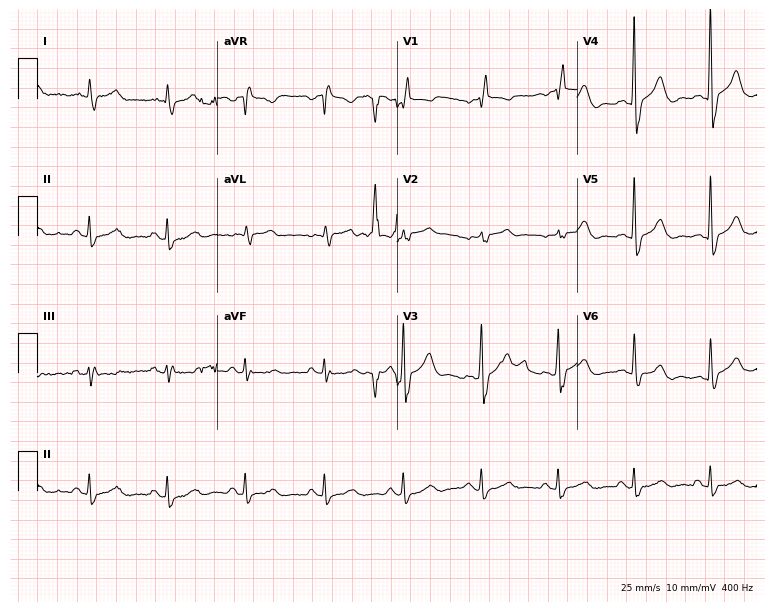
12-lead ECG from a man, 72 years old. Screened for six findings — first-degree AV block, right bundle branch block (RBBB), left bundle branch block (LBBB), sinus bradycardia, atrial fibrillation (AF), sinus tachycardia — none is recorded. Findings outside these six are not listed.